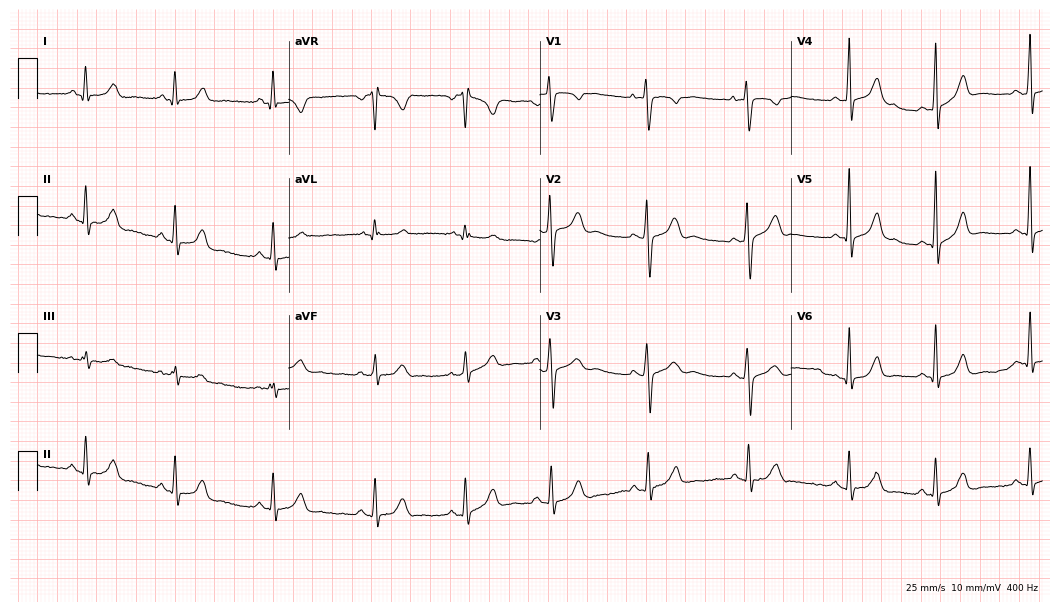
12-lead ECG from a female patient, 22 years old. Labelled as a normal ECG.